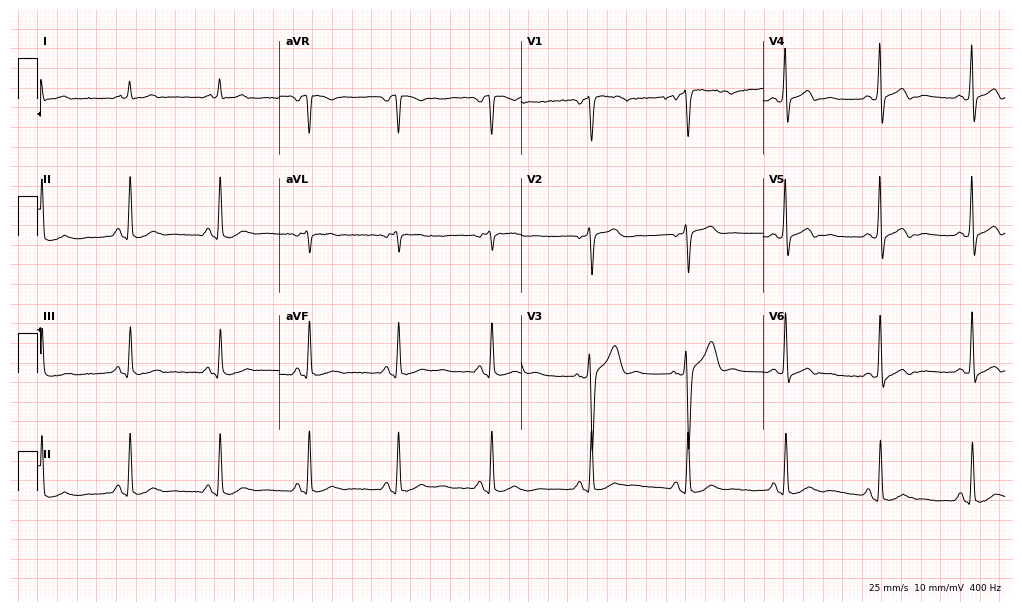
Resting 12-lead electrocardiogram. Patient: a 56-year-old male. None of these six findings is recorded: first-degree AV block, right bundle branch block, left bundle branch block, sinus bradycardia, atrial fibrillation, sinus tachycardia.